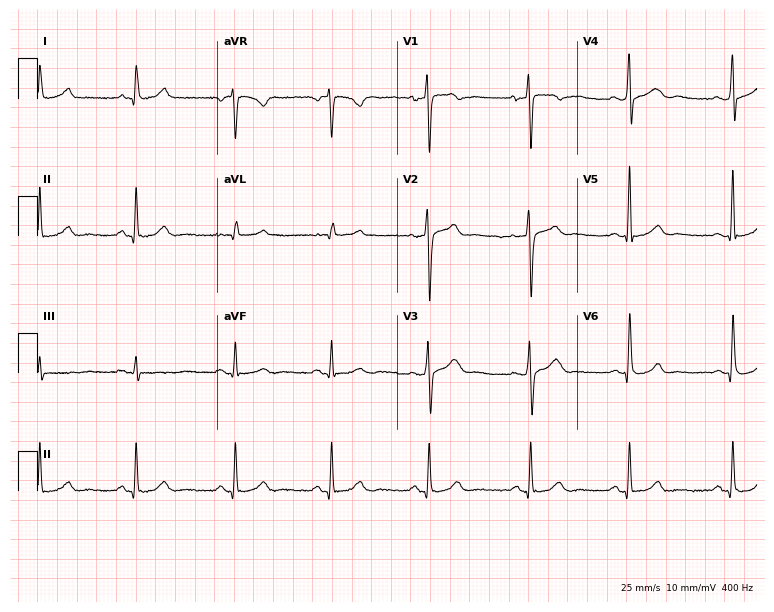
ECG — a 36-year-old male patient. Labelled as a normal ECG.